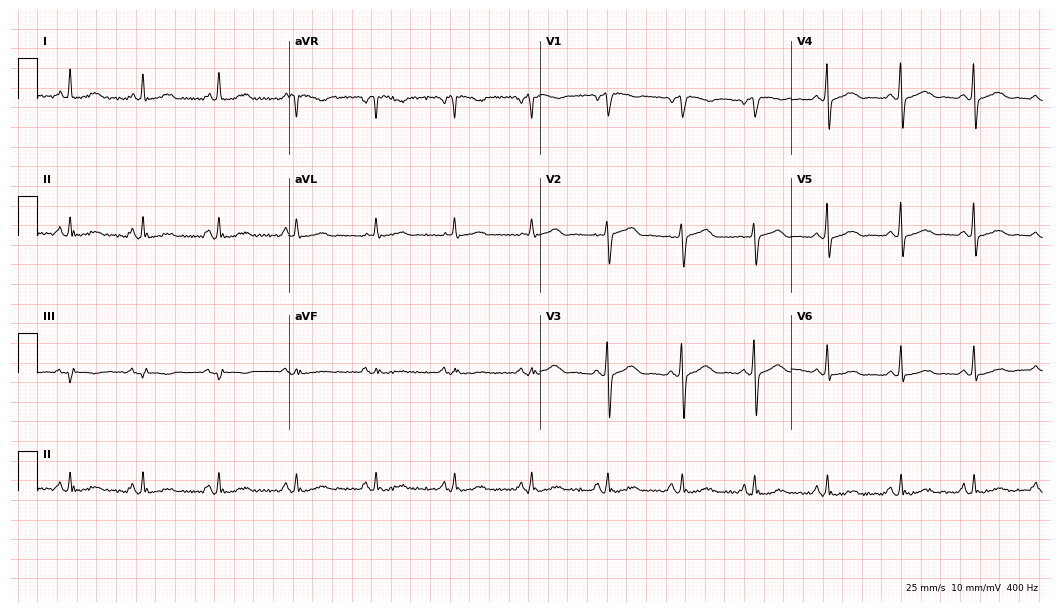
Electrocardiogram (10.2-second recording at 400 Hz), a 72-year-old female. Overall reading on record: normal ECG.